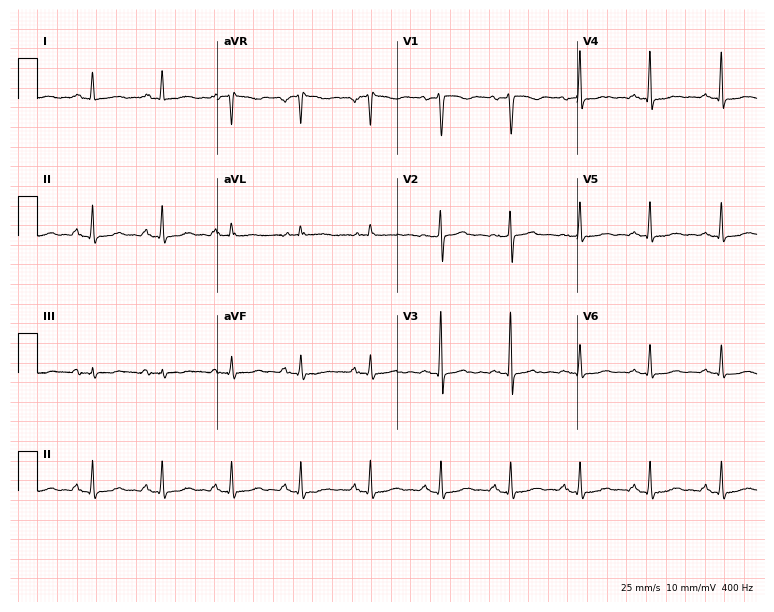
Standard 12-lead ECG recorded from a 63-year-old female patient. None of these six findings is recorded: first-degree AV block, right bundle branch block, left bundle branch block, sinus bradycardia, atrial fibrillation, sinus tachycardia. Findings outside these six are not listed.